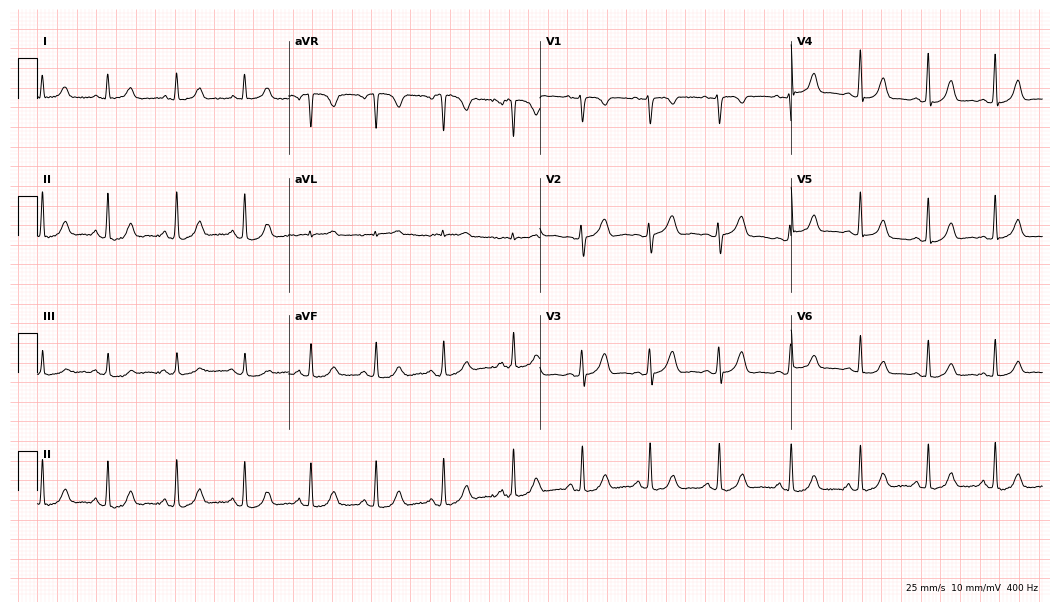
12-lead ECG from a woman, 34 years old (10.2-second recording at 400 Hz). Recorded interpretation: within normal limits.